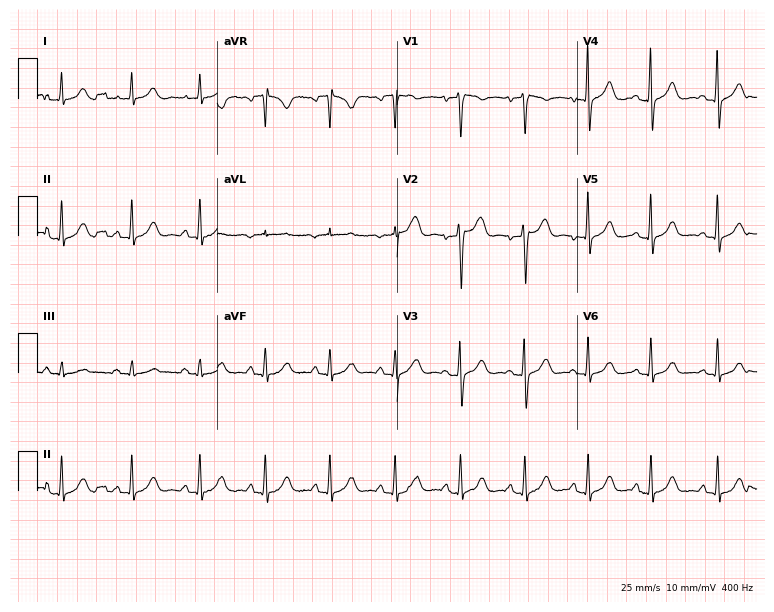
Standard 12-lead ECG recorded from a woman, 34 years old. Read as a normal ECG.